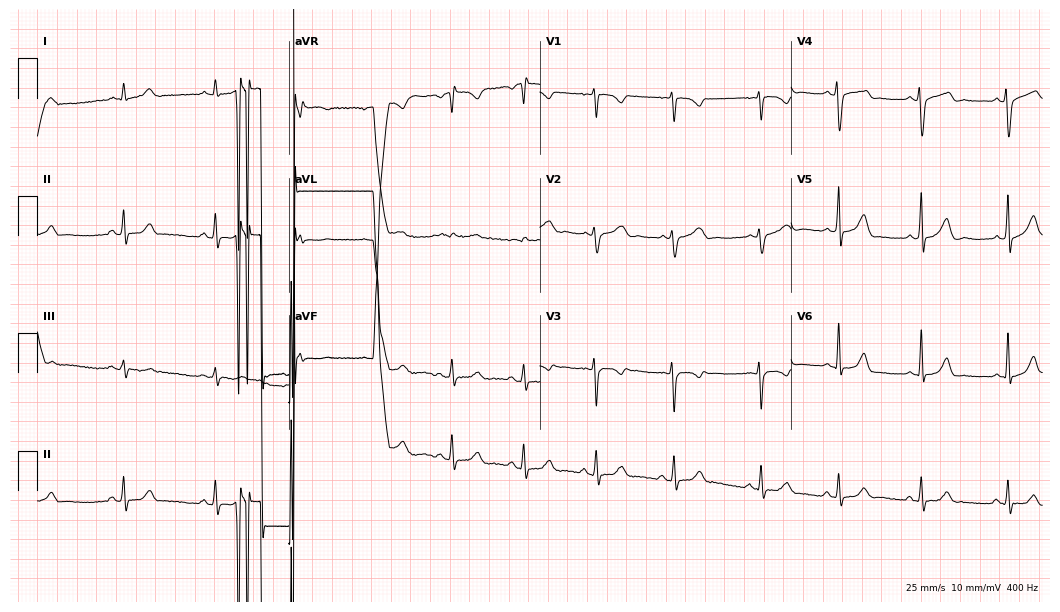
12-lead ECG from a female patient, 26 years old (10.2-second recording at 400 Hz). No first-degree AV block, right bundle branch block, left bundle branch block, sinus bradycardia, atrial fibrillation or sinus tachycardia recorded for this tracing.